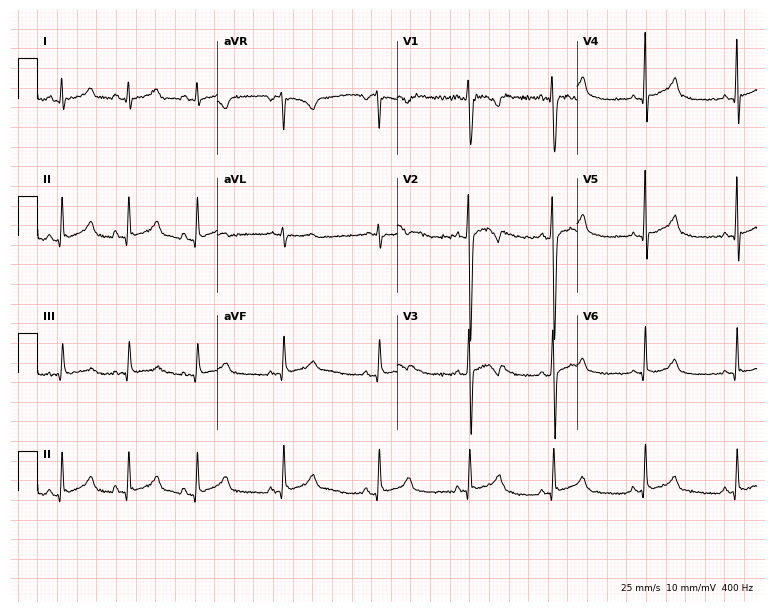
Electrocardiogram, a male patient, 41 years old. Overall reading on record: normal ECG.